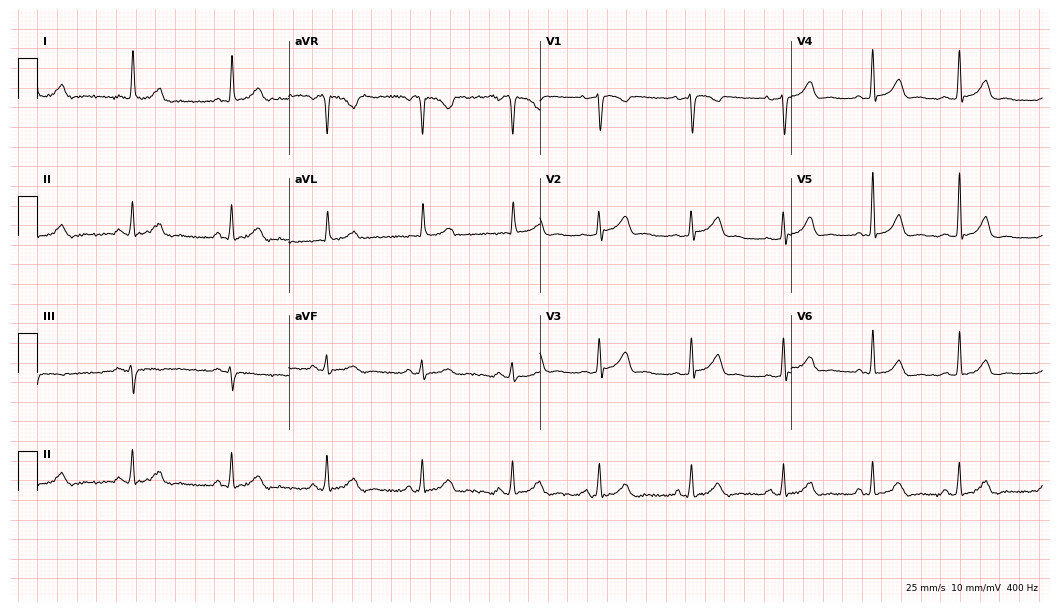
12-lead ECG from a female patient, 40 years old (10.2-second recording at 400 Hz). No first-degree AV block, right bundle branch block, left bundle branch block, sinus bradycardia, atrial fibrillation or sinus tachycardia recorded for this tracing.